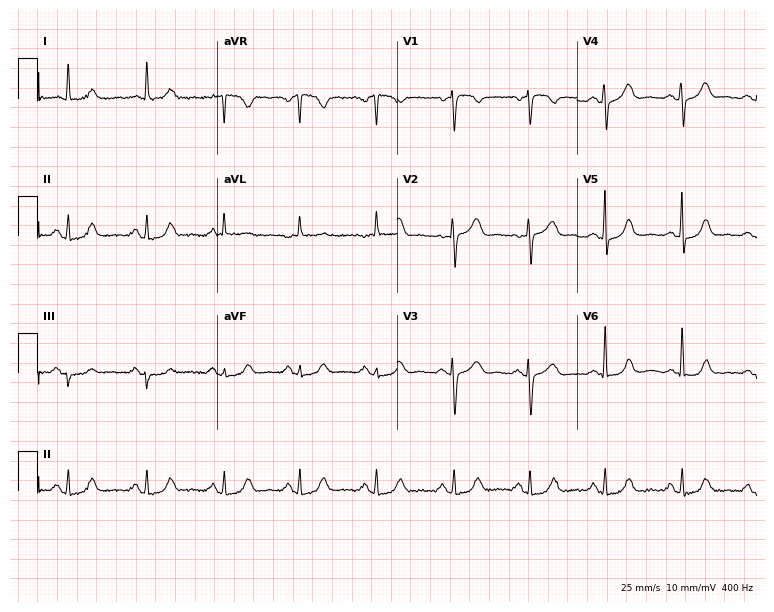
ECG (7.3-second recording at 400 Hz) — a female patient, 71 years old. Labelled as a normal ECG.